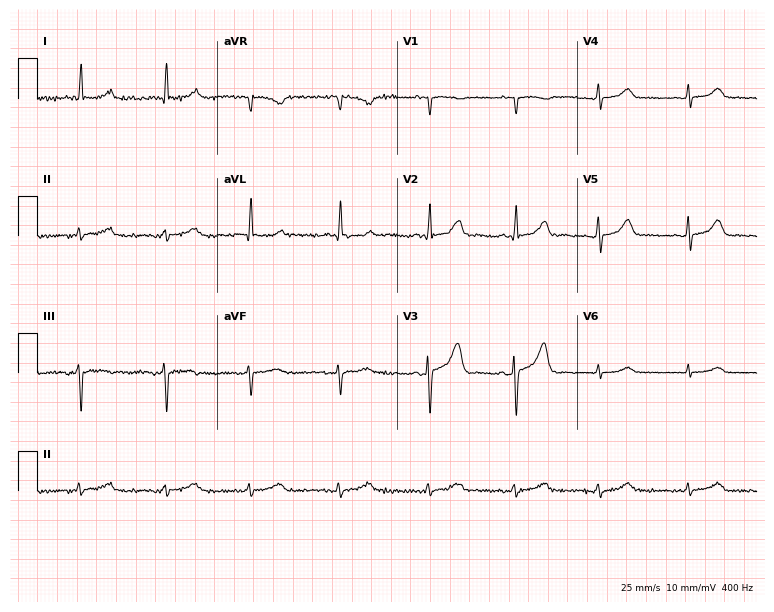
Standard 12-lead ECG recorded from a 78-year-old female (7.3-second recording at 400 Hz). Read as a normal ECG.